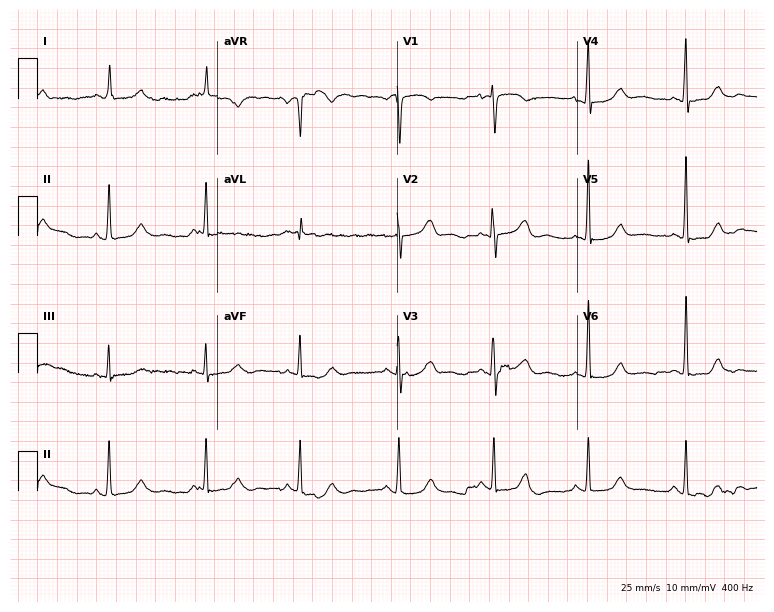
12-lead ECG from a 72-year-old woman. No first-degree AV block, right bundle branch block, left bundle branch block, sinus bradycardia, atrial fibrillation or sinus tachycardia recorded for this tracing. Only these six findings were labelled.